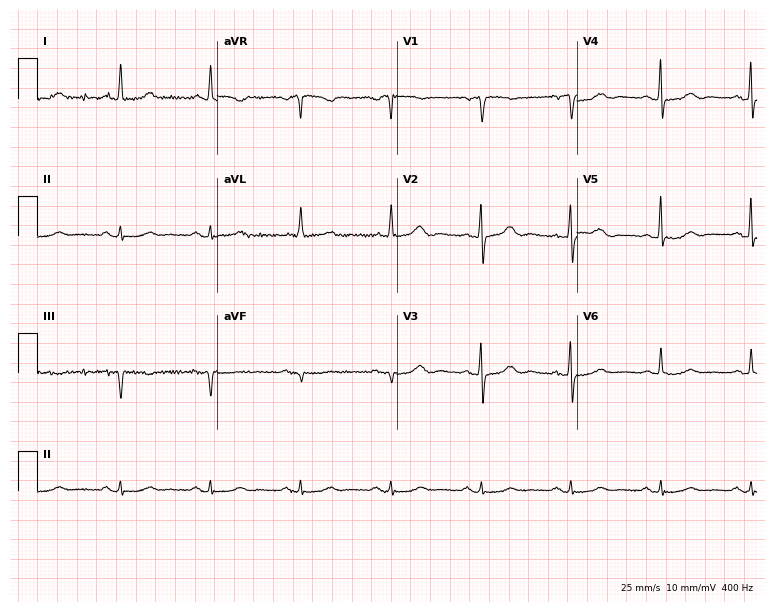
ECG (7.3-second recording at 400 Hz) — a female, 78 years old. Screened for six findings — first-degree AV block, right bundle branch block, left bundle branch block, sinus bradycardia, atrial fibrillation, sinus tachycardia — none is recorded. Other findings, if any, are not listed.